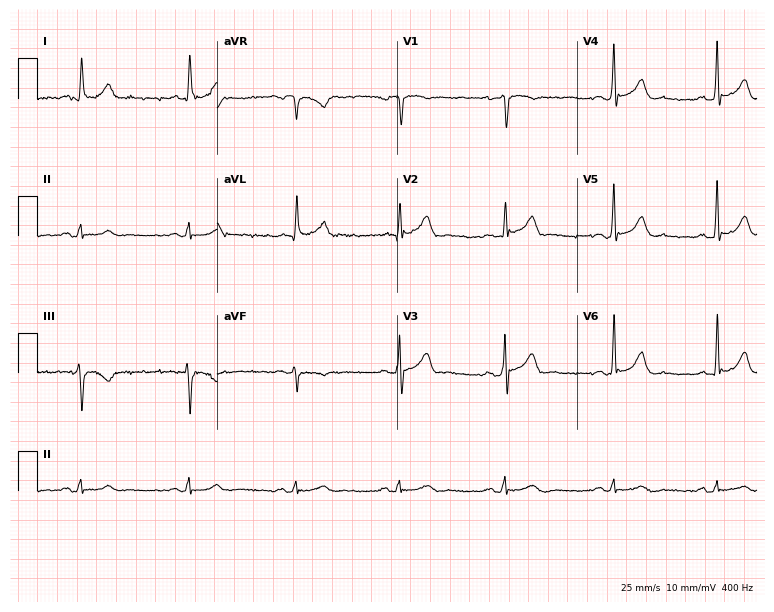
12-lead ECG (7.3-second recording at 400 Hz) from a 61-year-old man. Labelled as a normal ECG.